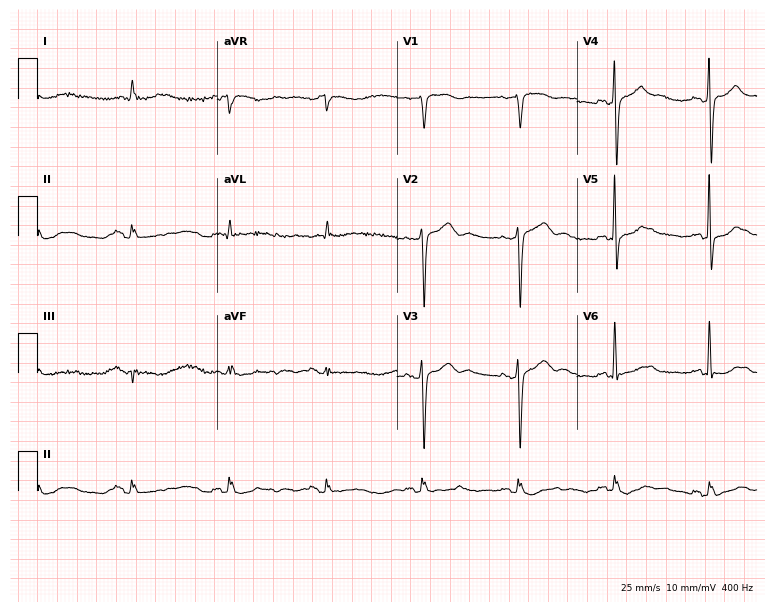
12-lead ECG from an 84-year-old woman. No first-degree AV block, right bundle branch block, left bundle branch block, sinus bradycardia, atrial fibrillation or sinus tachycardia recorded for this tracing.